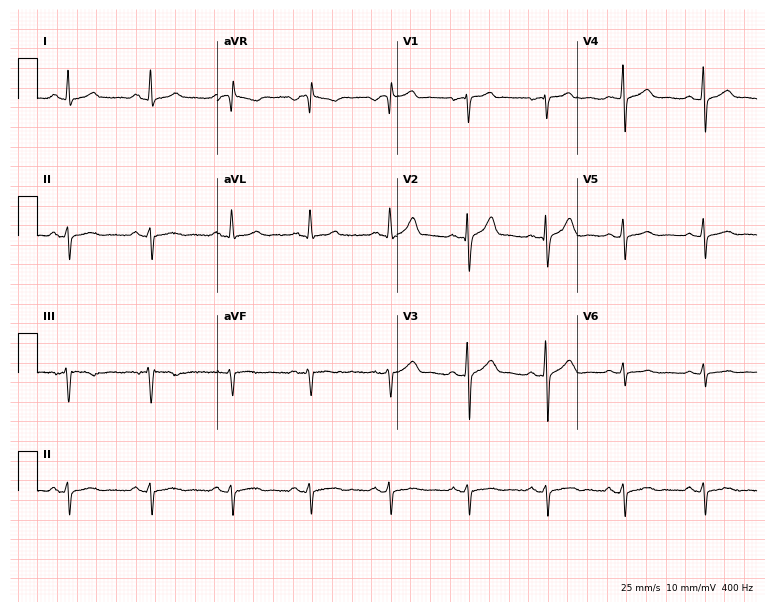
ECG — a 39-year-old male. Screened for six findings — first-degree AV block, right bundle branch block (RBBB), left bundle branch block (LBBB), sinus bradycardia, atrial fibrillation (AF), sinus tachycardia — none is recorded.